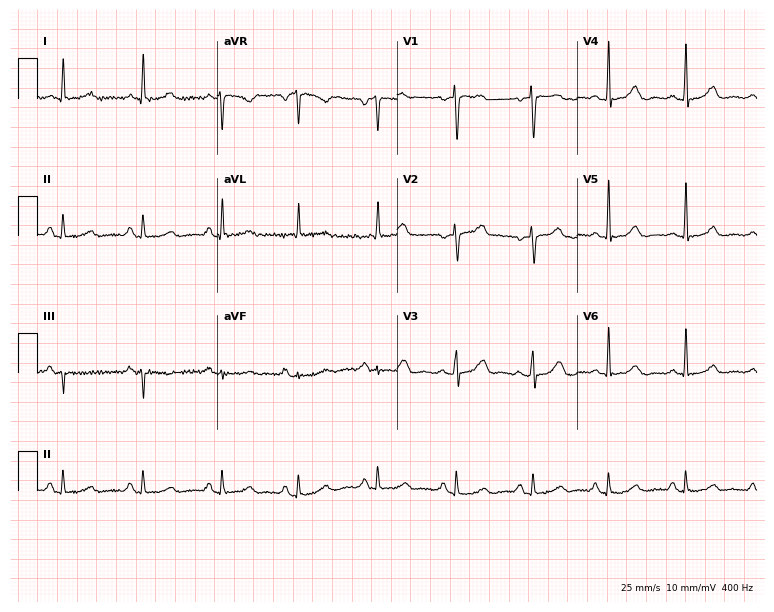
Electrocardiogram, a 49-year-old woman. Of the six screened findings (first-degree AV block, right bundle branch block, left bundle branch block, sinus bradycardia, atrial fibrillation, sinus tachycardia), none is recorded. Only these six findings were labelled.